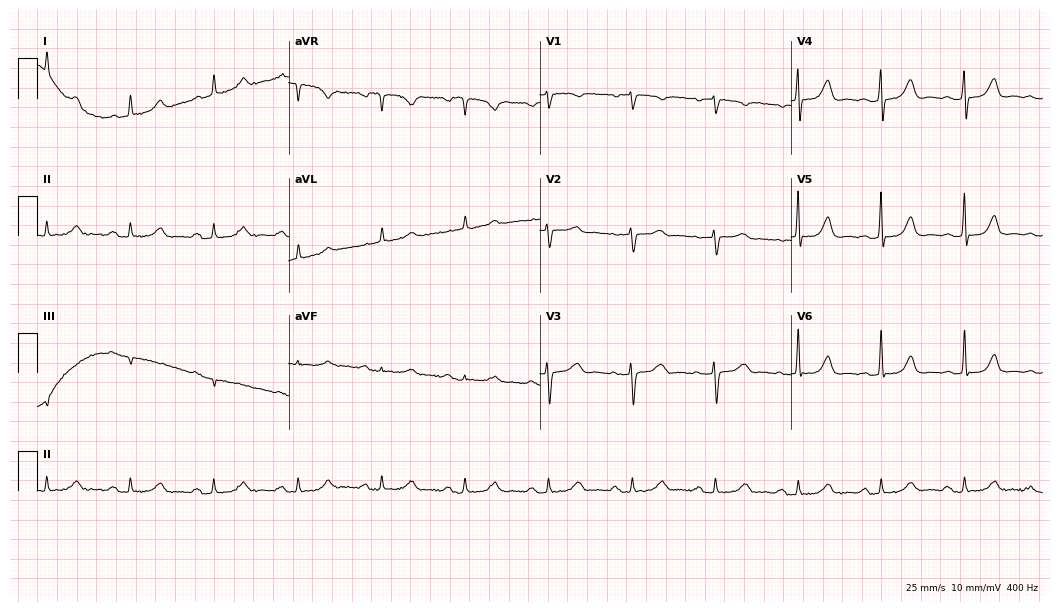
12-lead ECG from a female patient, 83 years old. No first-degree AV block, right bundle branch block (RBBB), left bundle branch block (LBBB), sinus bradycardia, atrial fibrillation (AF) or sinus tachycardia recorded for this tracing.